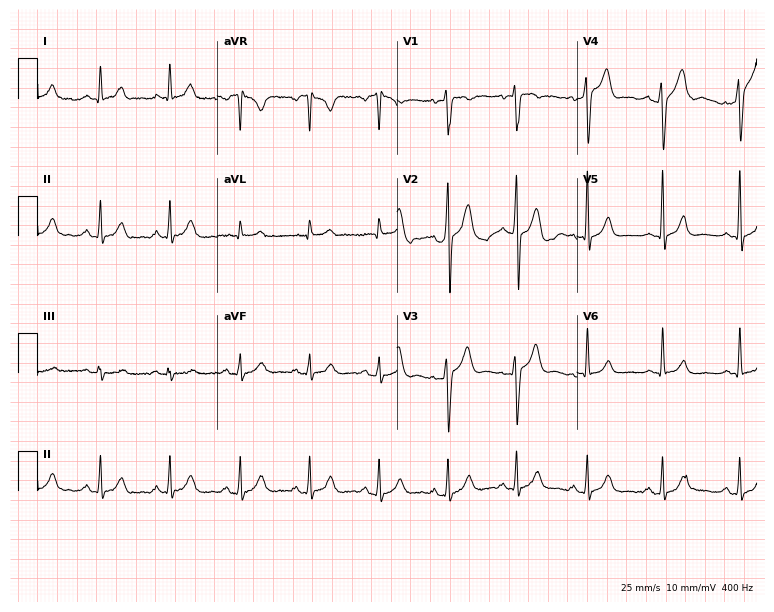
Resting 12-lead electrocardiogram (7.3-second recording at 400 Hz). Patient: a 26-year-old man. Read as a normal ECG.